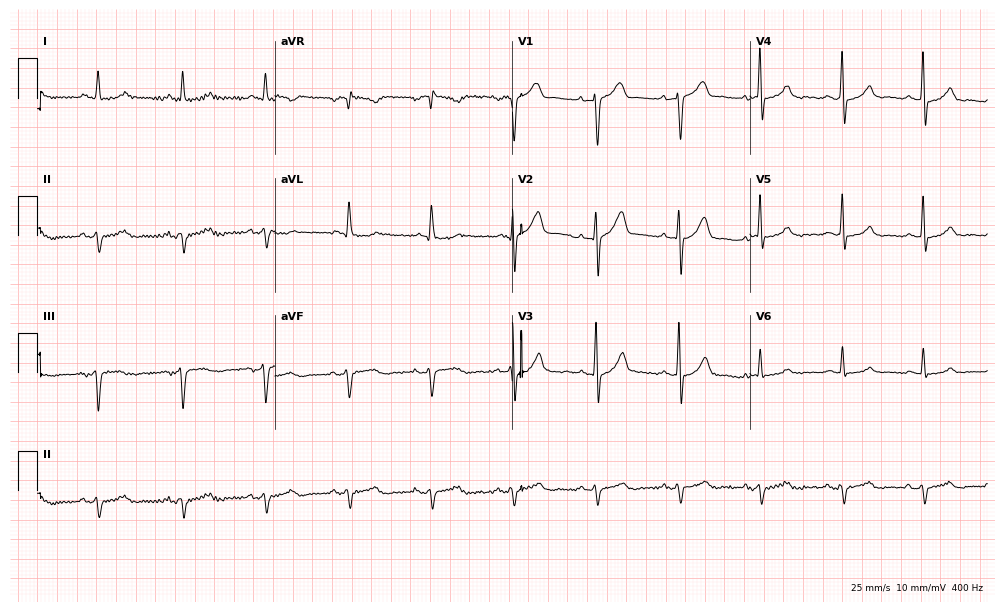
Resting 12-lead electrocardiogram (9.7-second recording at 400 Hz). Patient: a 67-year-old male. None of these six findings is recorded: first-degree AV block, right bundle branch block, left bundle branch block, sinus bradycardia, atrial fibrillation, sinus tachycardia.